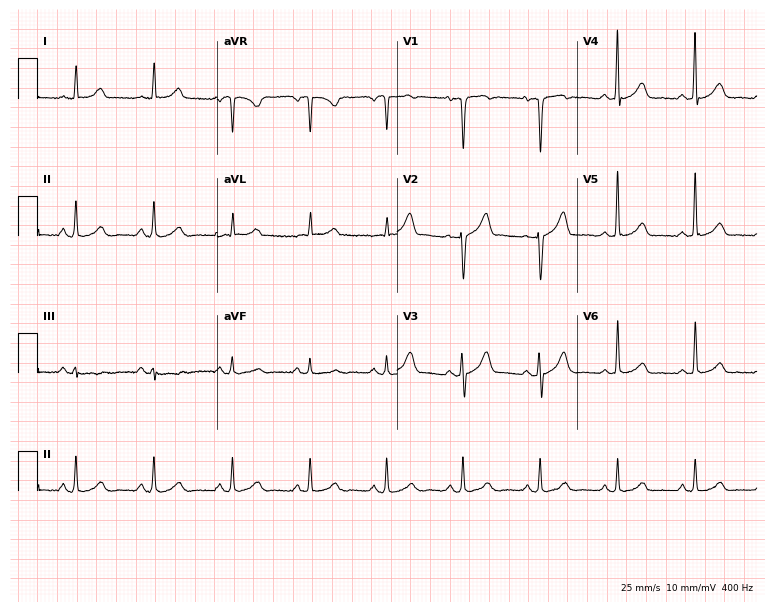
ECG (7.3-second recording at 400 Hz) — a 55-year-old male. Labelled as a normal ECG.